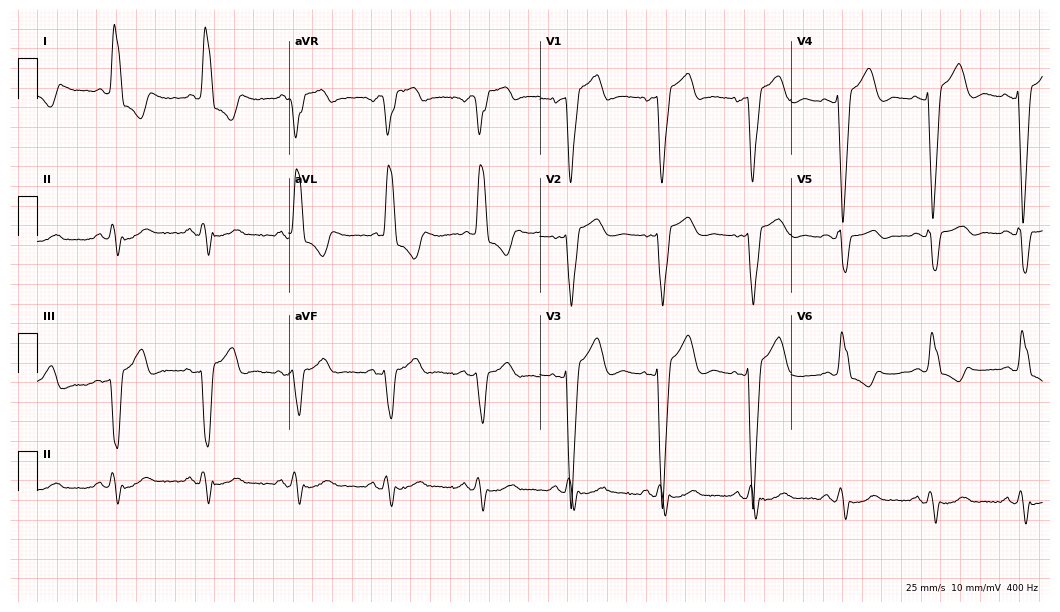
Electrocardiogram, a 73-year-old woman. Interpretation includes left bundle branch block.